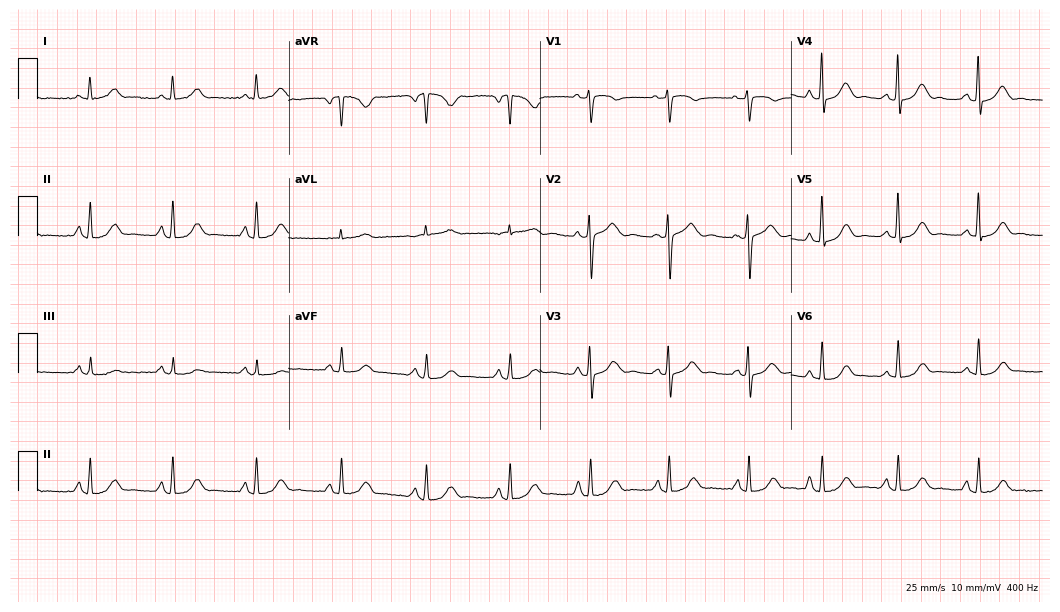
ECG — a 68-year-old female patient. Labelled as a normal ECG.